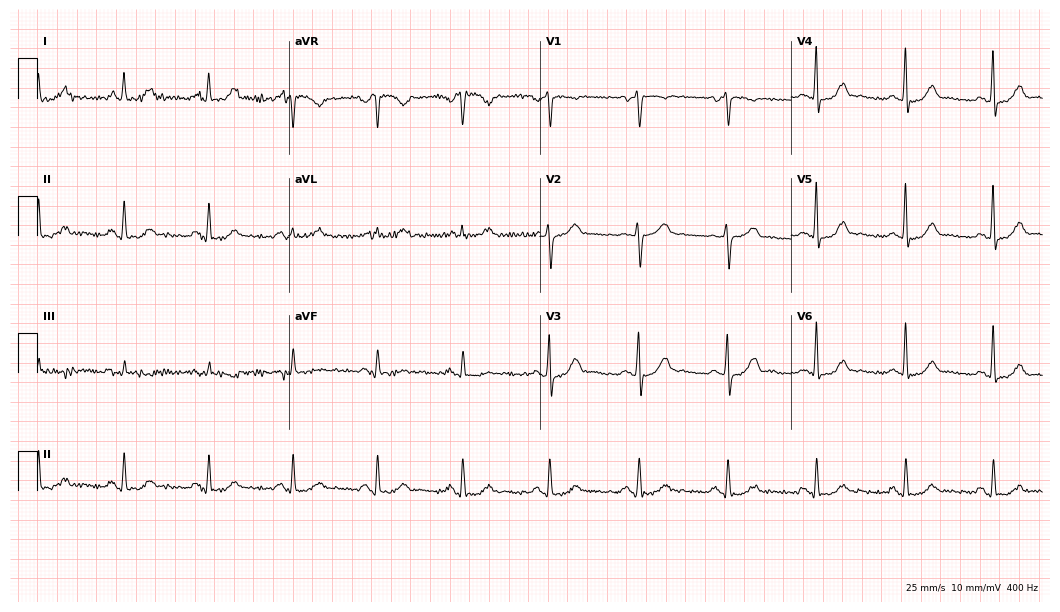
Standard 12-lead ECG recorded from a female patient, 59 years old (10.2-second recording at 400 Hz). None of these six findings is recorded: first-degree AV block, right bundle branch block (RBBB), left bundle branch block (LBBB), sinus bradycardia, atrial fibrillation (AF), sinus tachycardia.